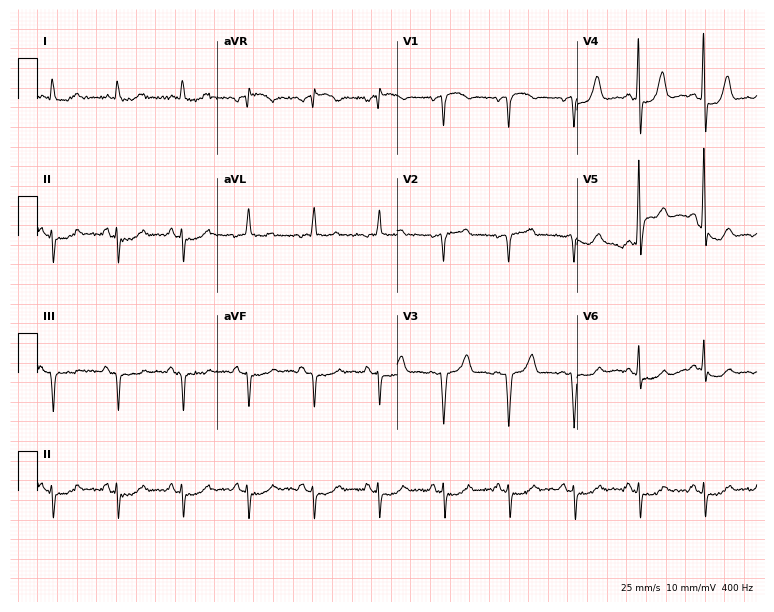
Resting 12-lead electrocardiogram (7.3-second recording at 400 Hz). Patient: an 80-year-old female. Read as a normal ECG.